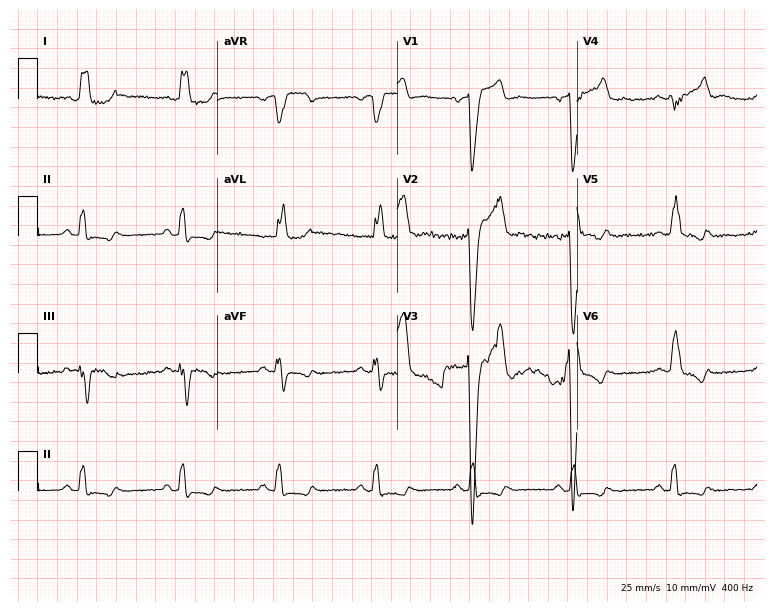
ECG (7.3-second recording at 400 Hz) — a male, 54 years old. Findings include left bundle branch block (LBBB).